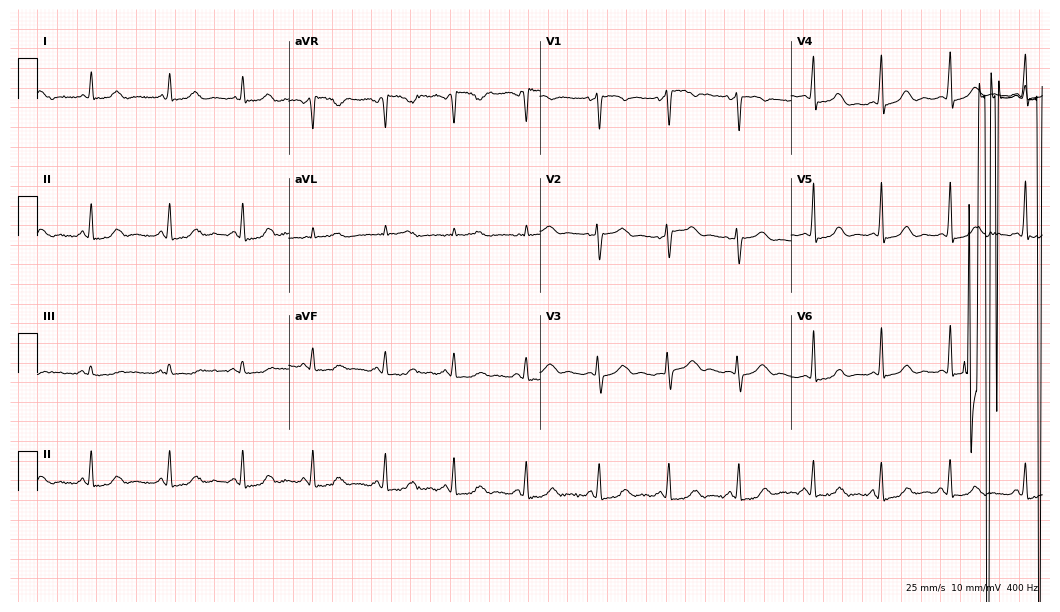
ECG — a female, 35 years old. Screened for six findings — first-degree AV block, right bundle branch block (RBBB), left bundle branch block (LBBB), sinus bradycardia, atrial fibrillation (AF), sinus tachycardia — none is recorded. Other findings, if any, are not listed.